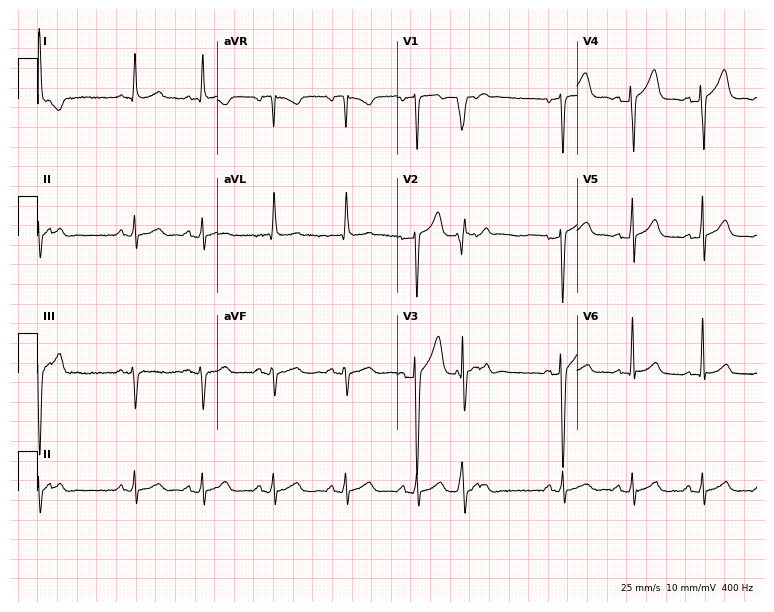
12-lead ECG from a male patient, 44 years old. No first-degree AV block, right bundle branch block, left bundle branch block, sinus bradycardia, atrial fibrillation or sinus tachycardia recorded for this tracing.